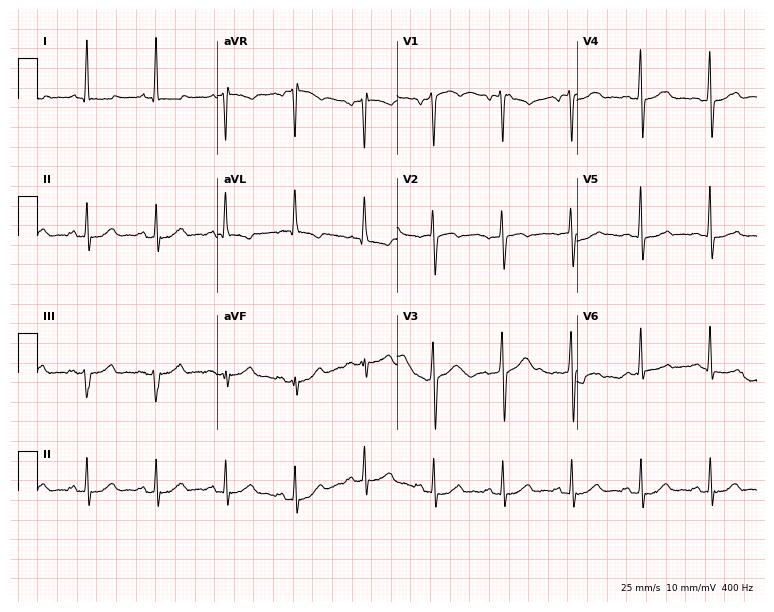
ECG (7.3-second recording at 400 Hz) — a 52-year-old male. Labelled as a normal ECG.